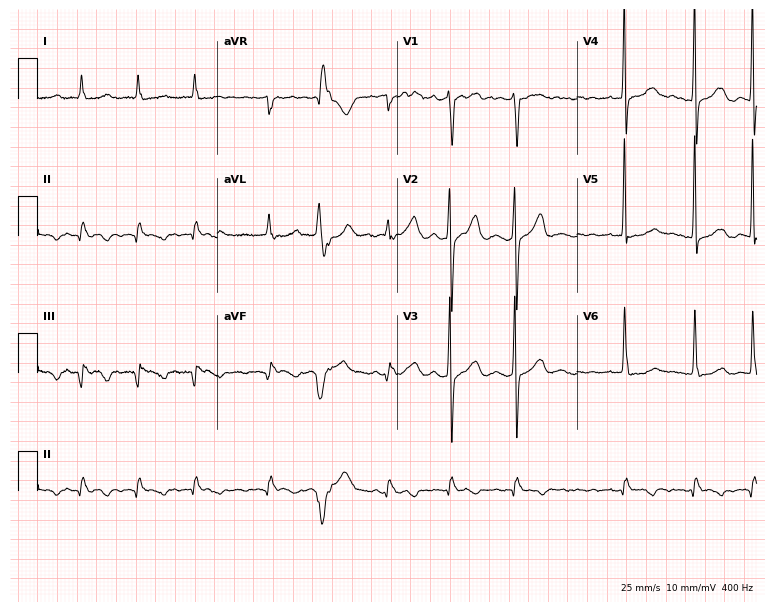
Resting 12-lead electrocardiogram. Patient: a male, 59 years old. The tracing shows atrial fibrillation.